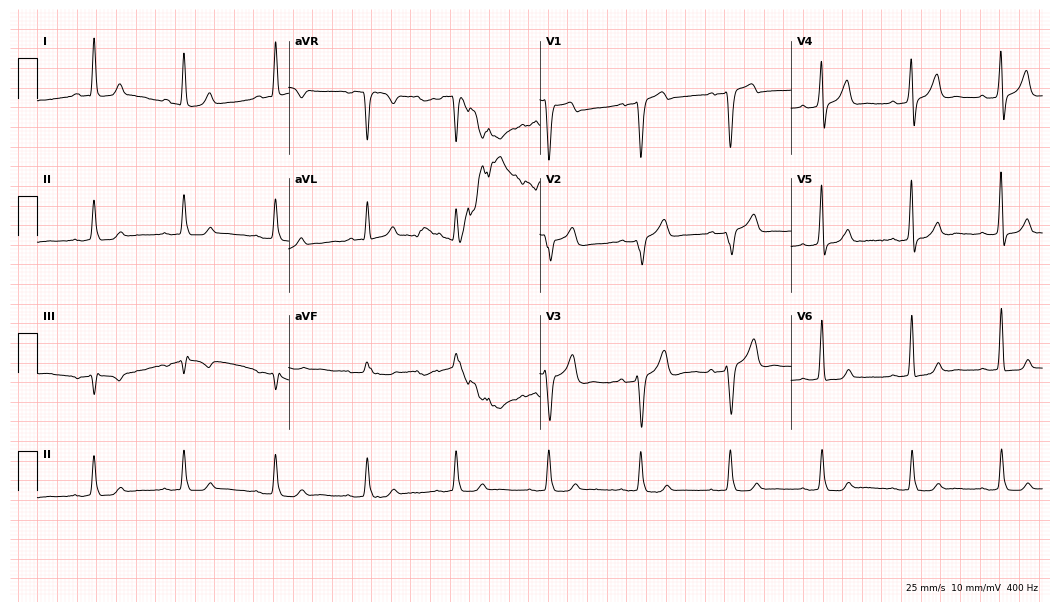
Resting 12-lead electrocardiogram (10.2-second recording at 400 Hz). Patient: a man, 62 years old. None of these six findings is recorded: first-degree AV block, right bundle branch block, left bundle branch block, sinus bradycardia, atrial fibrillation, sinus tachycardia.